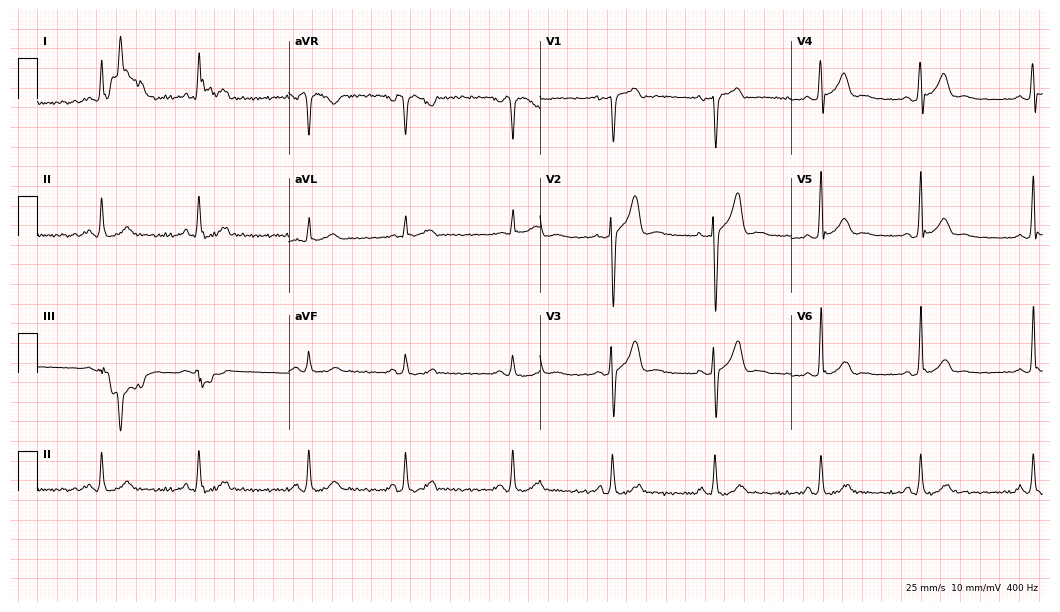
12-lead ECG from a male patient, 22 years old. Recorded interpretation: within normal limits.